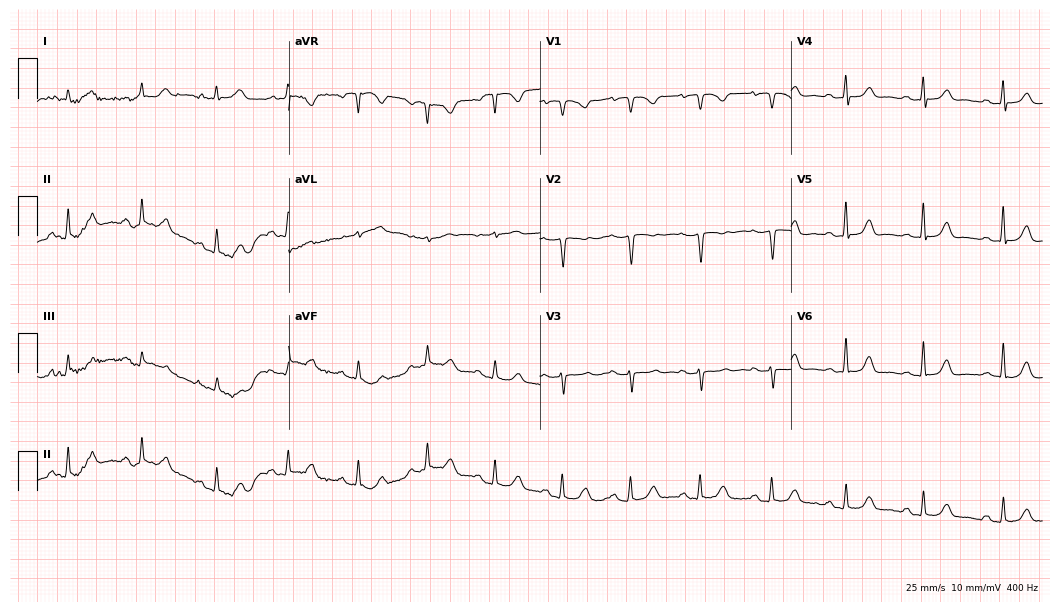
Standard 12-lead ECG recorded from a female patient, 45 years old (10.2-second recording at 400 Hz). None of these six findings is recorded: first-degree AV block, right bundle branch block (RBBB), left bundle branch block (LBBB), sinus bradycardia, atrial fibrillation (AF), sinus tachycardia.